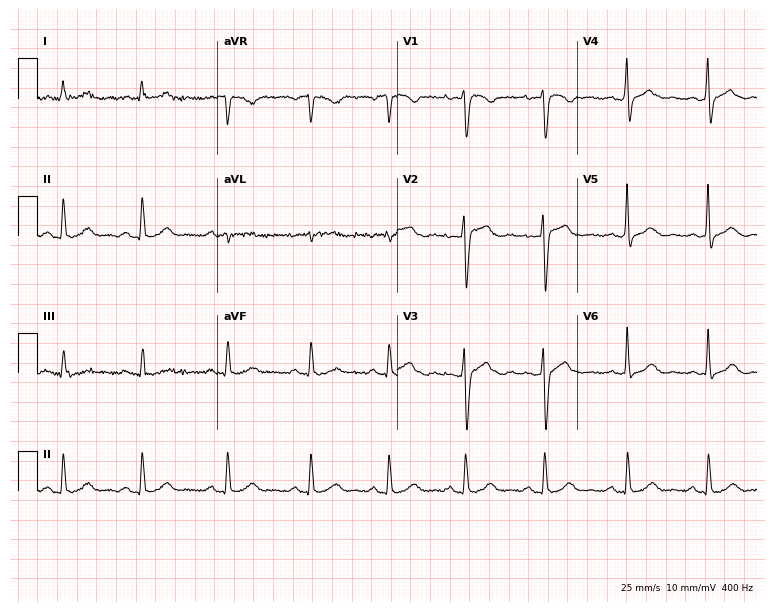
12-lead ECG from a 46-year-old female (7.3-second recording at 400 Hz). No first-degree AV block, right bundle branch block (RBBB), left bundle branch block (LBBB), sinus bradycardia, atrial fibrillation (AF) or sinus tachycardia recorded for this tracing. Other findings, if any, are not listed.